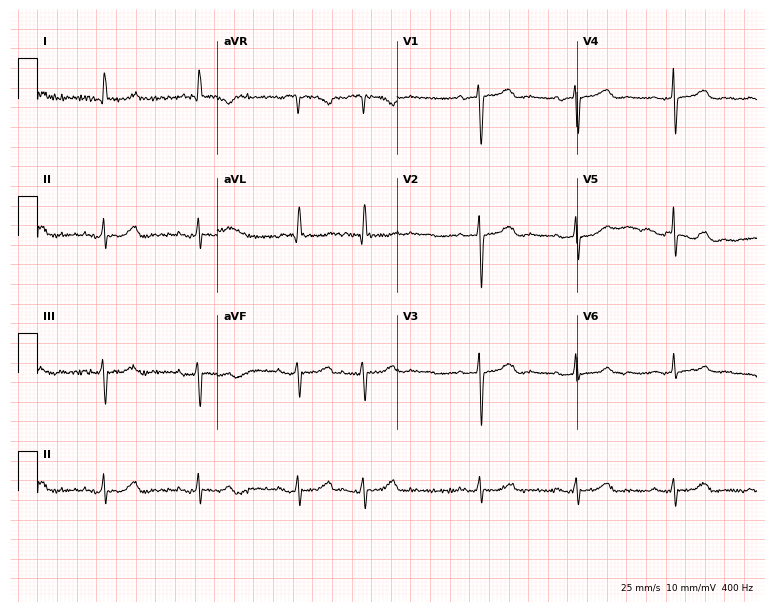
Electrocardiogram (7.3-second recording at 400 Hz), a female patient, 76 years old. Of the six screened findings (first-degree AV block, right bundle branch block, left bundle branch block, sinus bradycardia, atrial fibrillation, sinus tachycardia), none is recorded. Other findings, if any, are not listed.